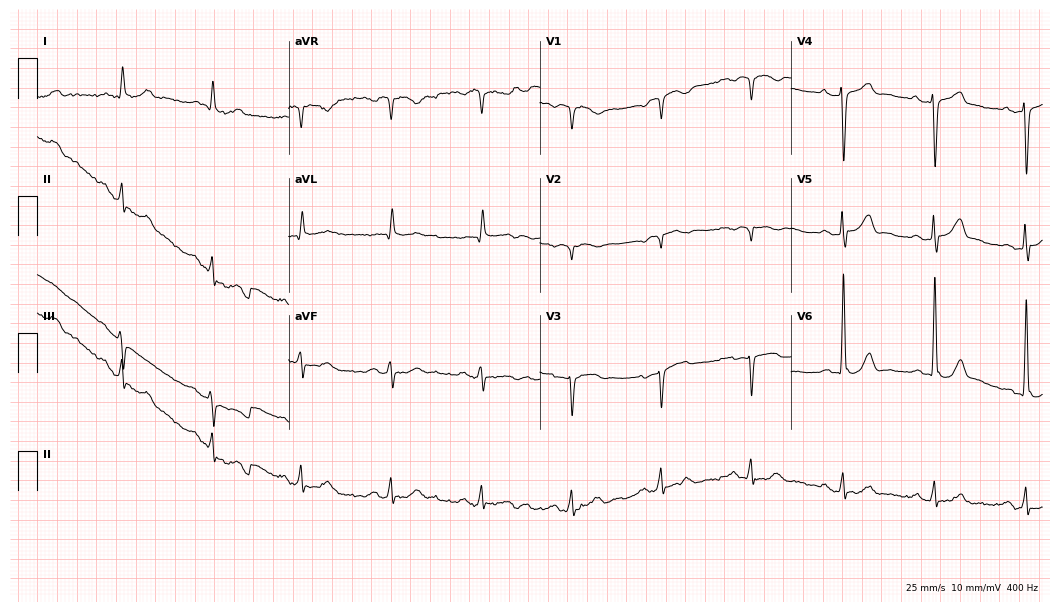
12-lead ECG from a male, 60 years old. No first-degree AV block, right bundle branch block (RBBB), left bundle branch block (LBBB), sinus bradycardia, atrial fibrillation (AF) or sinus tachycardia recorded for this tracing.